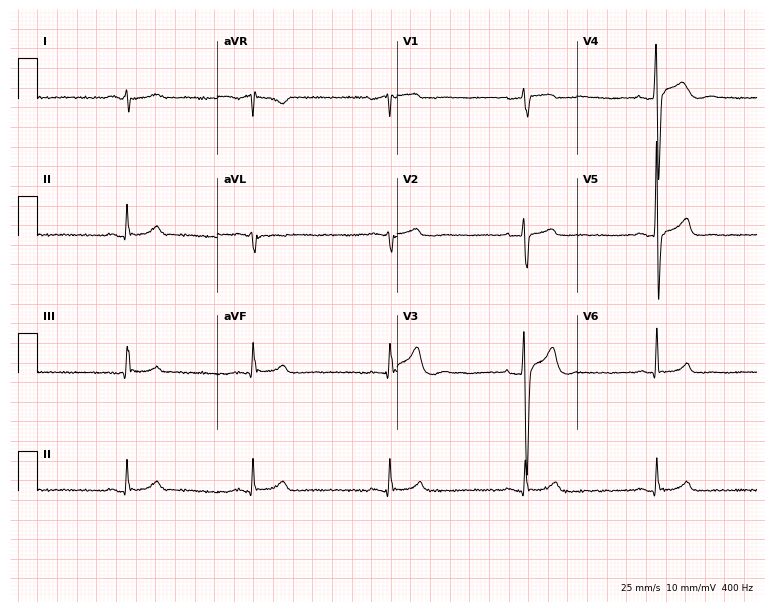
Resting 12-lead electrocardiogram. Patient: a male, 46 years old. The tracing shows sinus bradycardia (a sinus rate of 50 beats per minute or less).